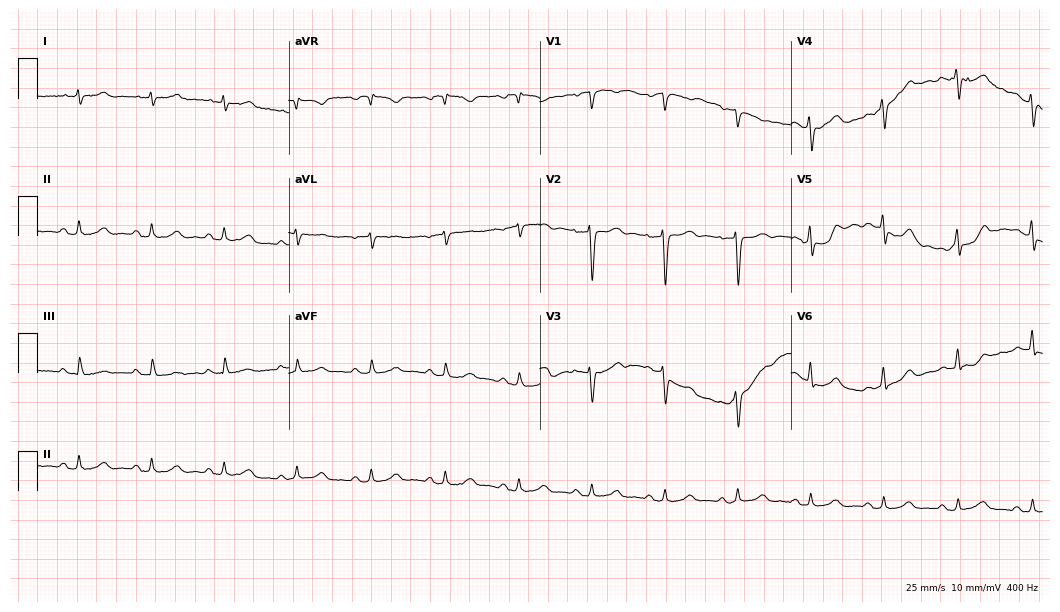
Resting 12-lead electrocardiogram. Patient: a male, 81 years old. Read as a normal ECG.